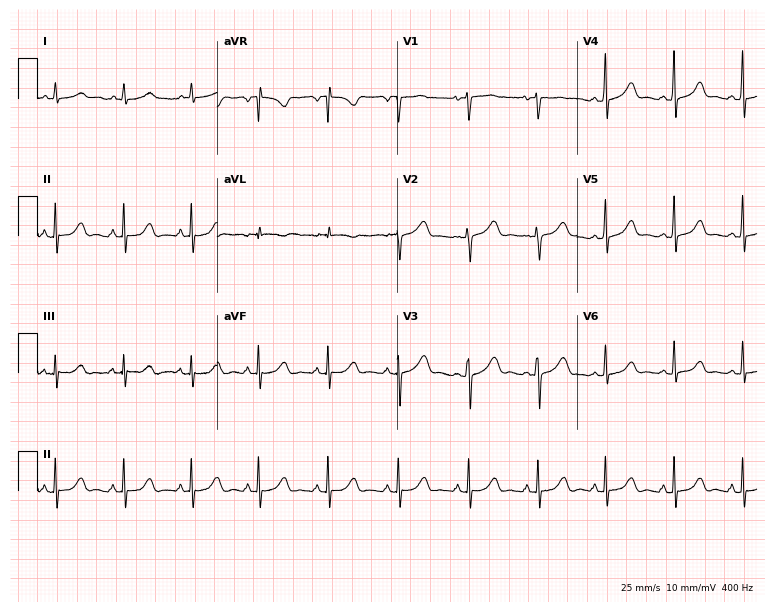
Standard 12-lead ECG recorded from a female patient, 19 years old. Read as a normal ECG.